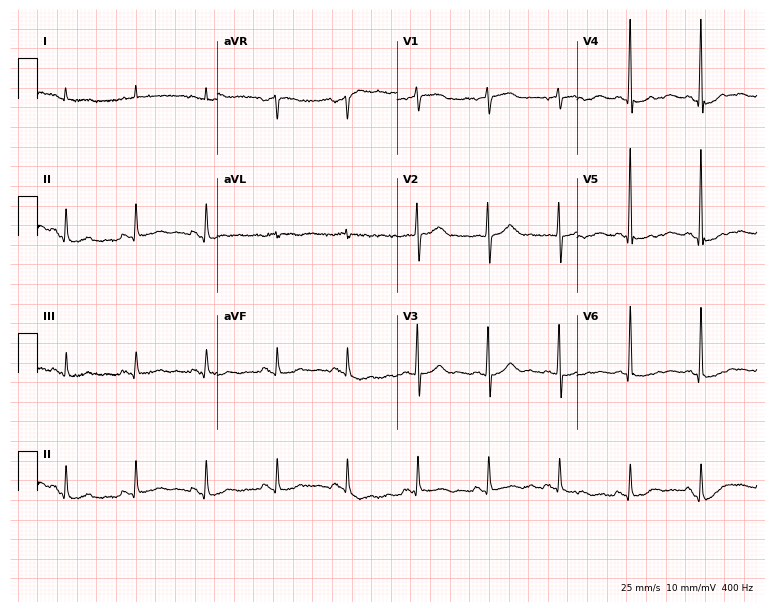
Electrocardiogram, a 75-year-old female patient. Of the six screened findings (first-degree AV block, right bundle branch block, left bundle branch block, sinus bradycardia, atrial fibrillation, sinus tachycardia), none is recorded. Only these six findings were labelled.